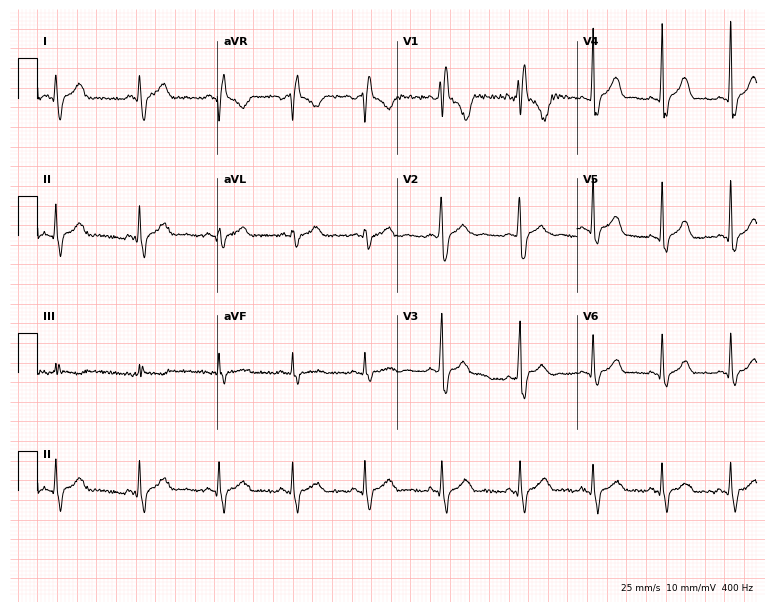
ECG (7.3-second recording at 400 Hz) — a woman, 26 years old. Findings include right bundle branch block (RBBB).